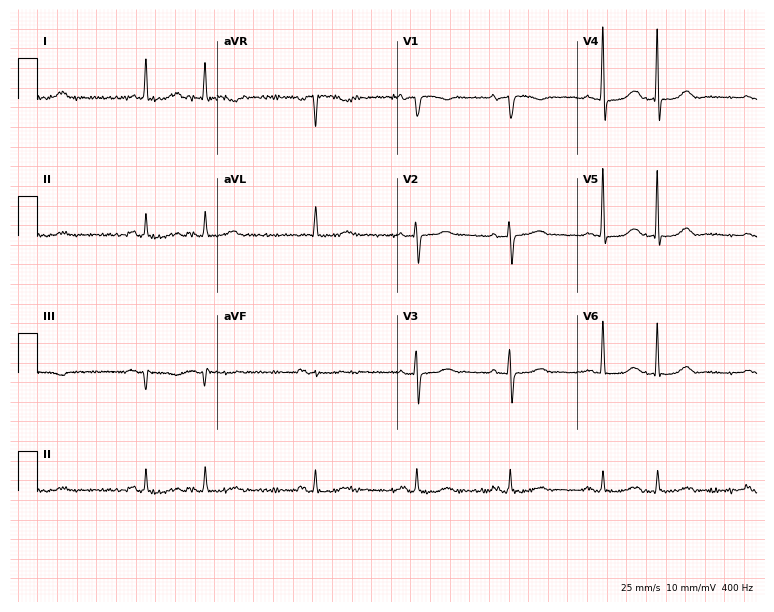
Standard 12-lead ECG recorded from a female, 74 years old. None of these six findings is recorded: first-degree AV block, right bundle branch block (RBBB), left bundle branch block (LBBB), sinus bradycardia, atrial fibrillation (AF), sinus tachycardia.